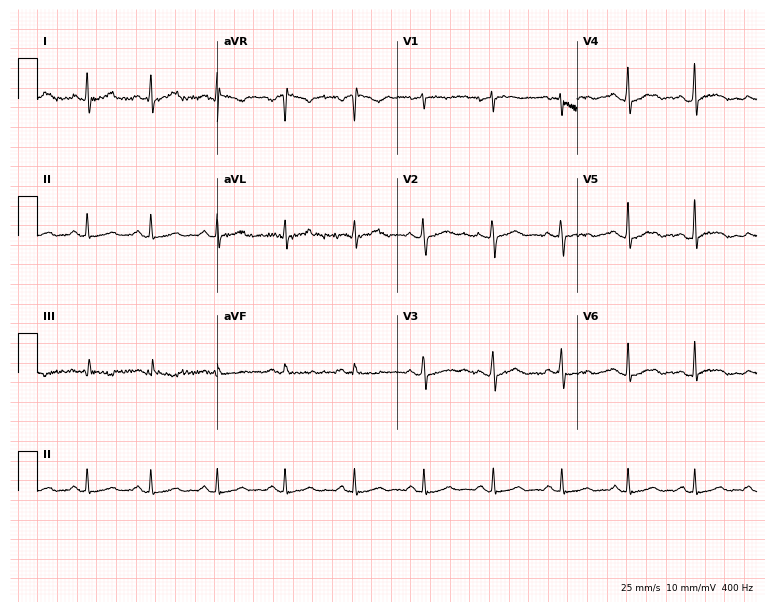
ECG — a female, 42 years old. Screened for six findings — first-degree AV block, right bundle branch block, left bundle branch block, sinus bradycardia, atrial fibrillation, sinus tachycardia — none is recorded.